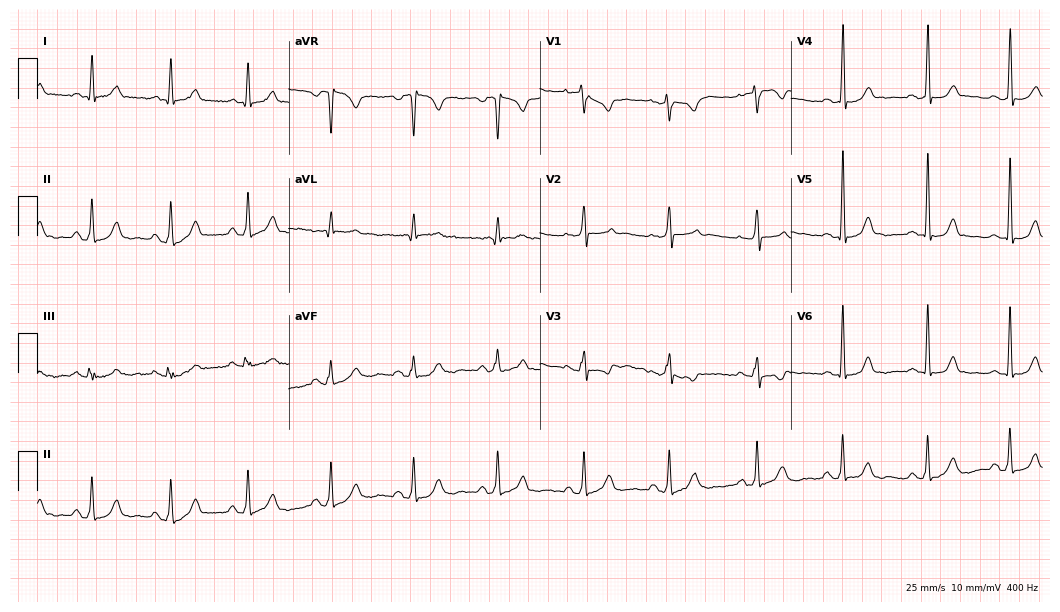
12-lead ECG from a female patient, 43 years old. Labelled as a normal ECG.